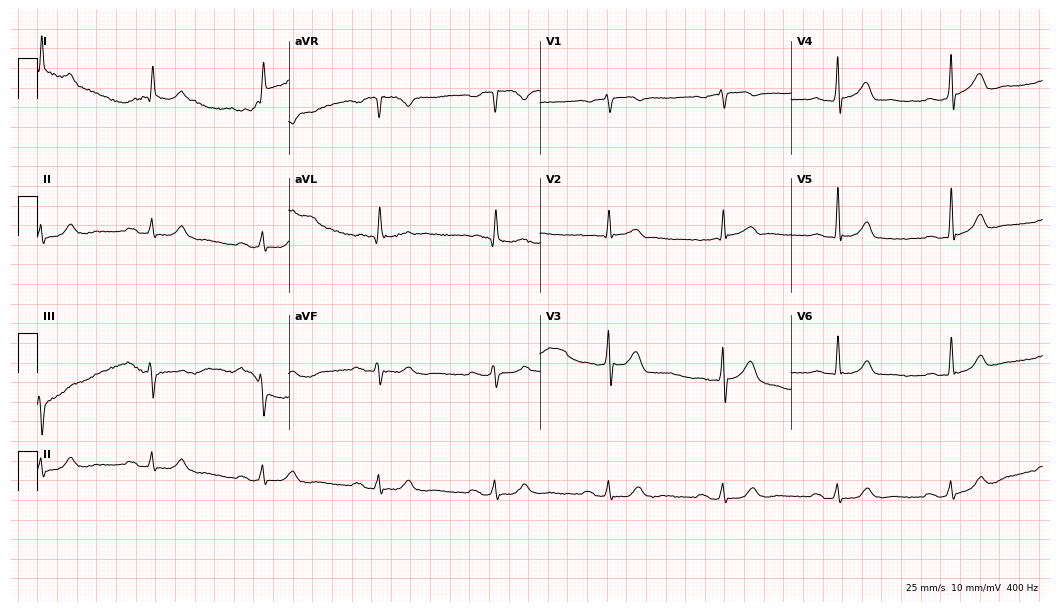
12-lead ECG from a male patient, 75 years old (10.2-second recording at 400 Hz). No first-degree AV block, right bundle branch block (RBBB), left bundle branch block (LBBB), sinus bradycardia, atrial fibrillation (AF) or sinus tachycardia recorded for this tracing.